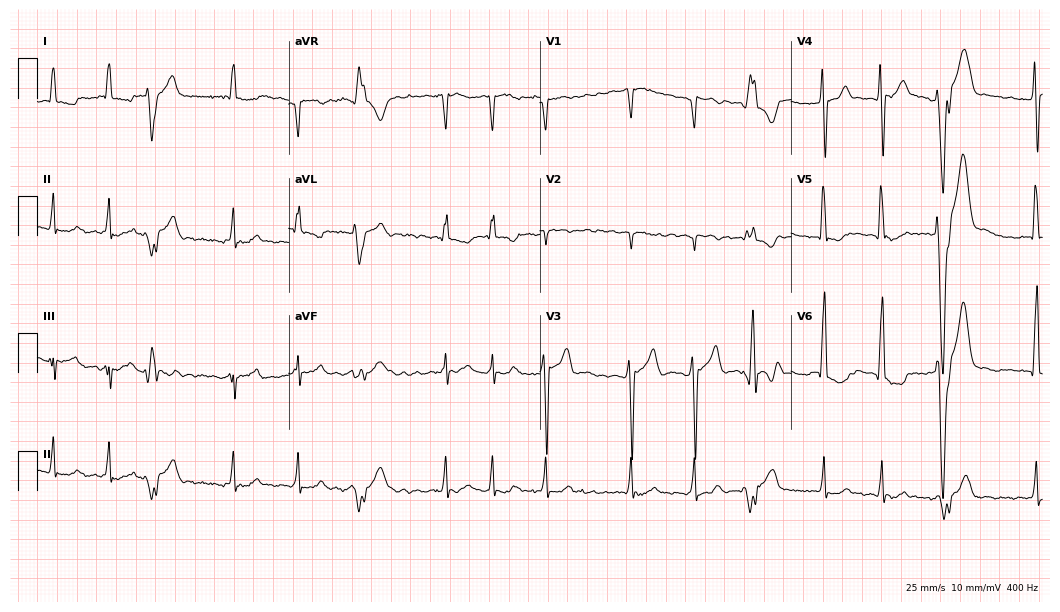
12-lead ECG from a 62-year-old male. Findings include atrial fibrillation (AF).